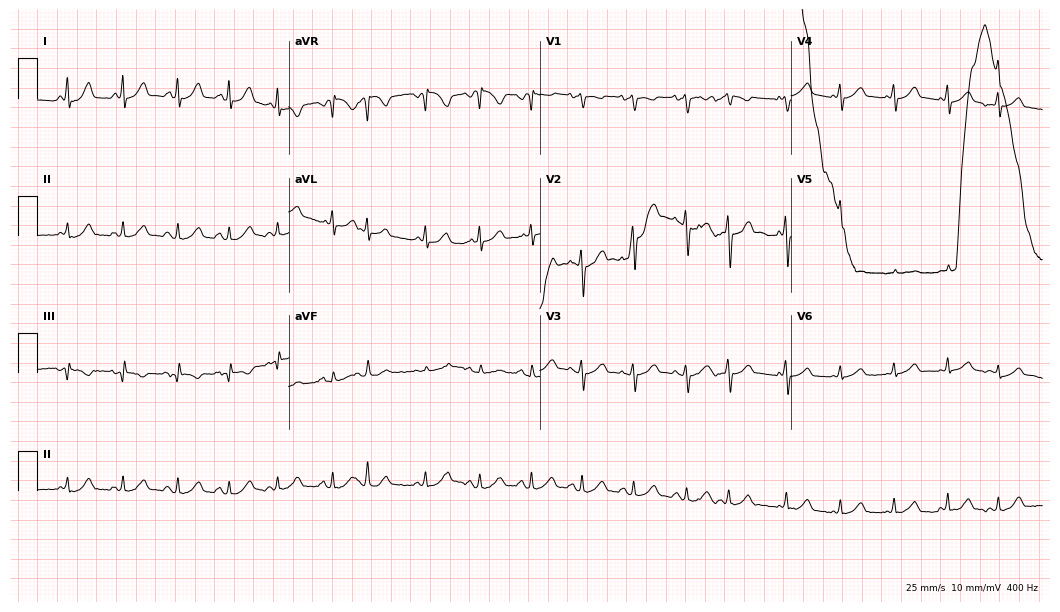
Standard 12-lead ECG recorded from a 27-year-old female patient. The tracing shows sinus tachycardia (a sinus rate of 100 beats per minute or more).